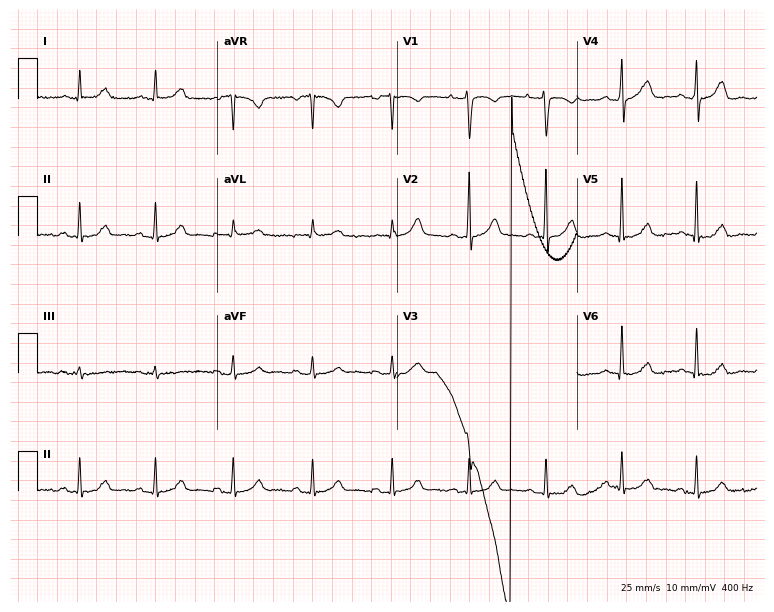
Electrocardiogram, a 41-year-old female patient. Of the six screened findings (first-degree AV block, right bundle branch block, left bundle branch block, sinus bradycardia, atrial fibrillation, sinus tachycardia), none is recorded.